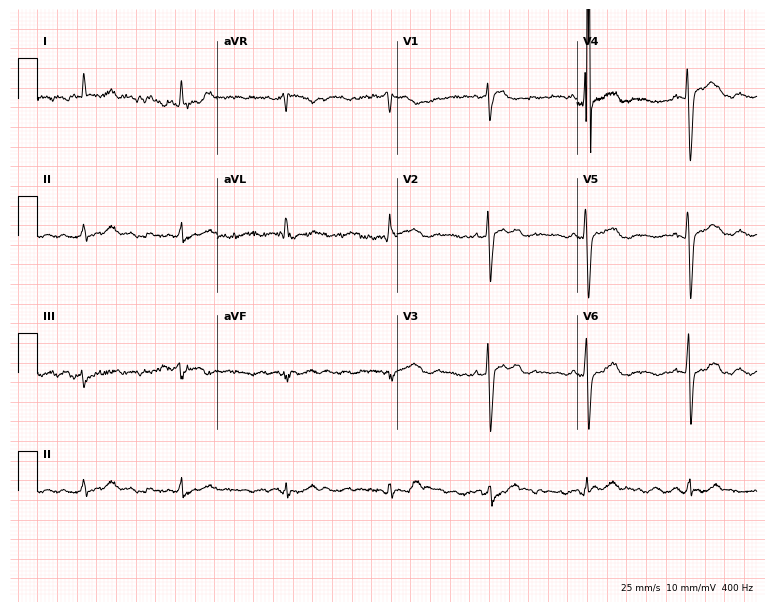
12-lead ECG from a 67-year-old female. Screened for six findings — first-degree AV block, right bundle branch block, left bundle branch block, sinus bradycardia, atrial fibrillation, sinus tachycardia — none is recorded.